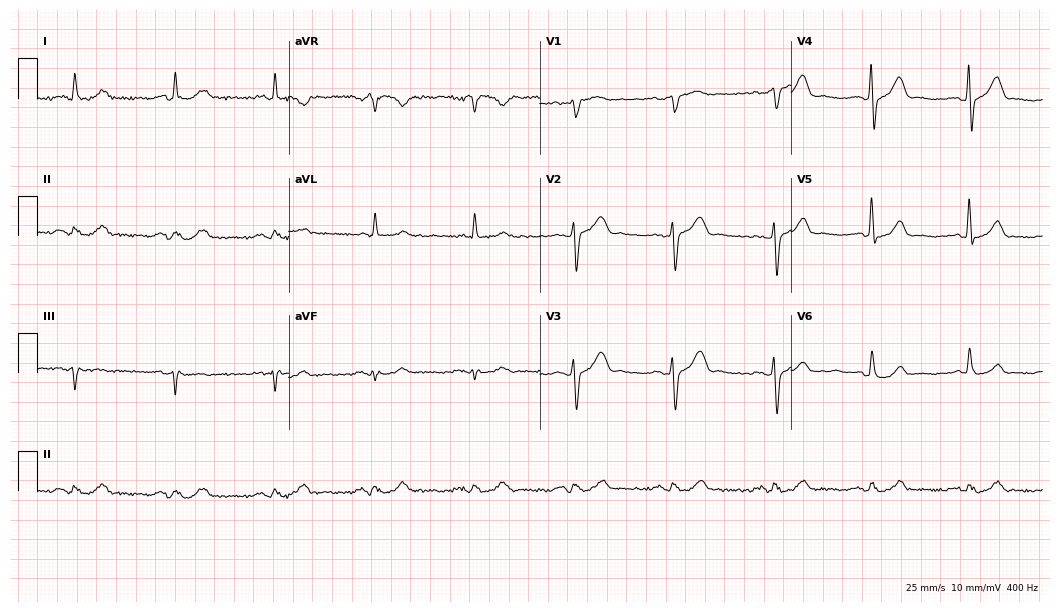
12-lead ECG from a man, 72 years old. Screened for six findings — first-degree AV block, right bundle branch block, left bundle branch block, sinus bradycardia, atrial fibrillation, sinus tachycardia — none is recorded.